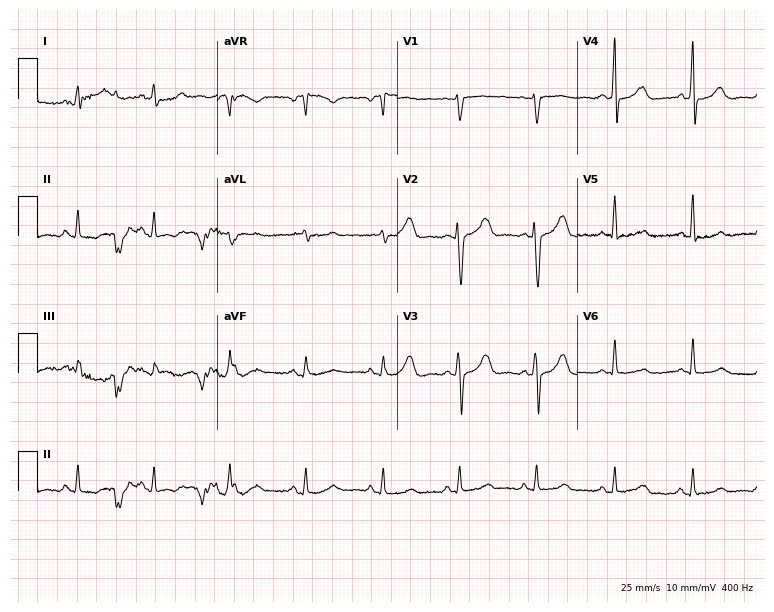
Electrocardiogram (7.3-second recording at 400 Hz), a woman, 50 years old. Of the six screened findings (first-degree AV block, right bundle branch block (RBBB), left bundle branch block (LBBB), sinus bradycardia, atrial fibrillation (AF), sinus tachycardia), none is recorded. Findings outside these six are not listed.